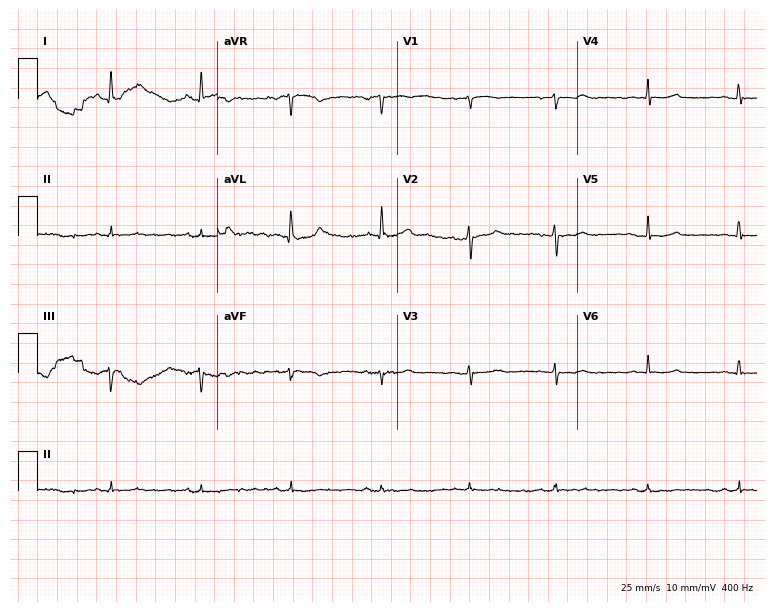
ECG — a 55-year-old female patient. Screened for six findings — first-degree AV block, right bundle branch block (RBBB), left bundle branch block (LBBB), sinus bradycardia, atrial fibrillation (AF), sinus tachycardia — none is recorded. Only these six findings were labelled.